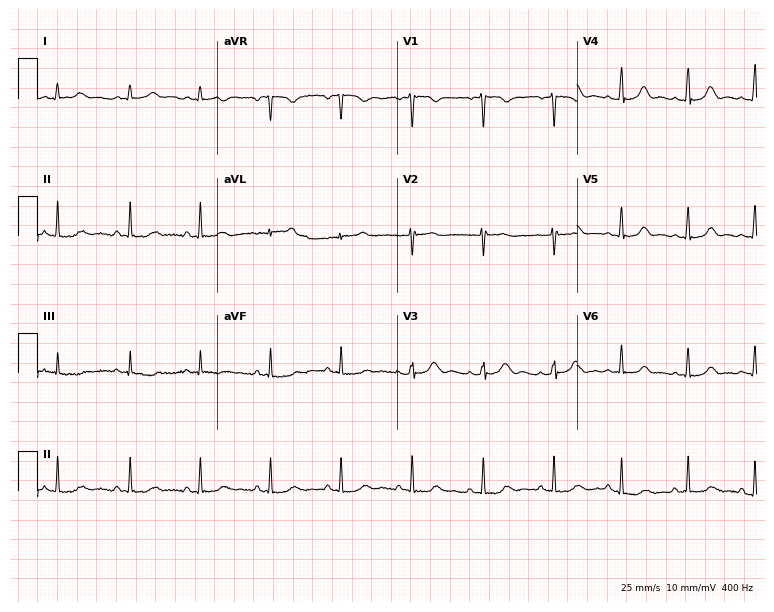
12-lead ECG from a 36-year-old woman. Labelled as a normal ECG.